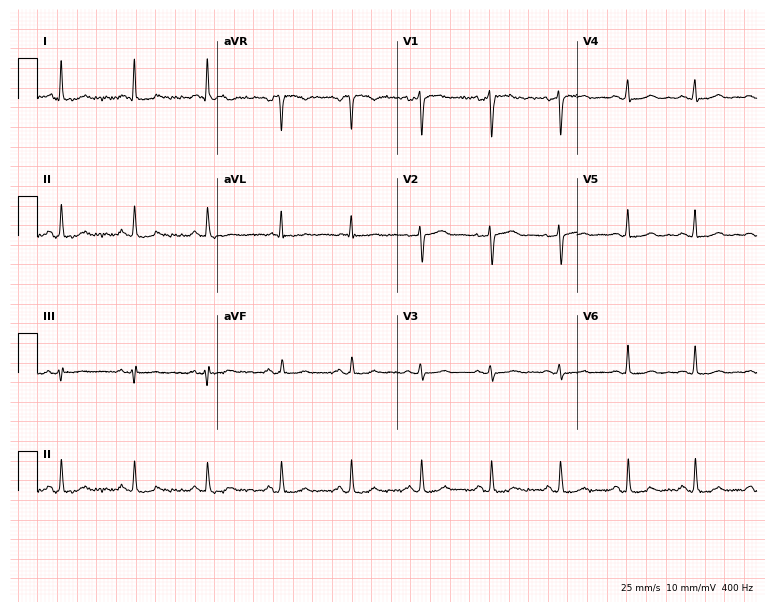
Electrocardiogram, a woman, 60 years old. Of the six screened findings (first-degree AV block, right bundle branch block, left bundle branch block, sinus bradycardia, atrial fibrillation, sinus tachycardia), none is recorded. Findings outside these six are not listed.